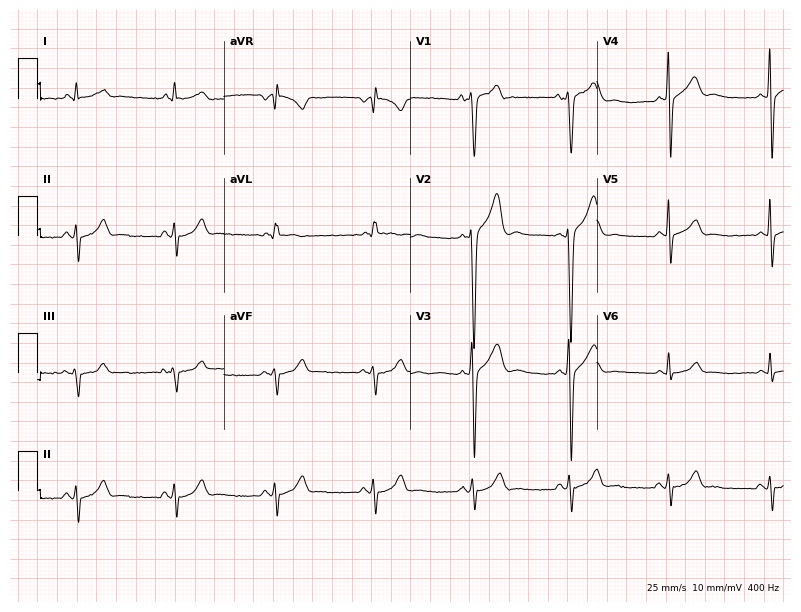
ECG — a man, 29 years old. Labelled as a normal ECG.